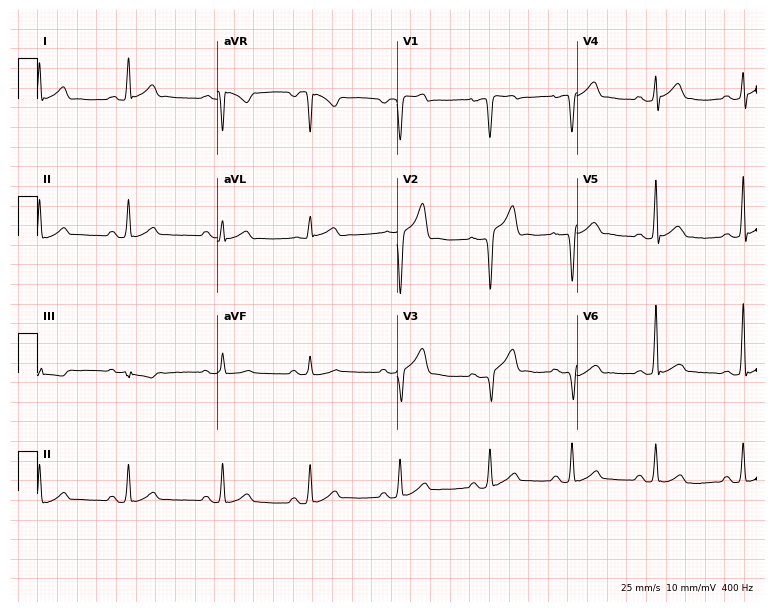
Electrocardiogram, a man, 30 years old. Of the six screened findings (first-degree AV block, right bundle branch block, left bundle branch block, sinus bradycardia, atrial fibrillation, sinus tachycardia), none is recorded. Findings outside these six are not listed.